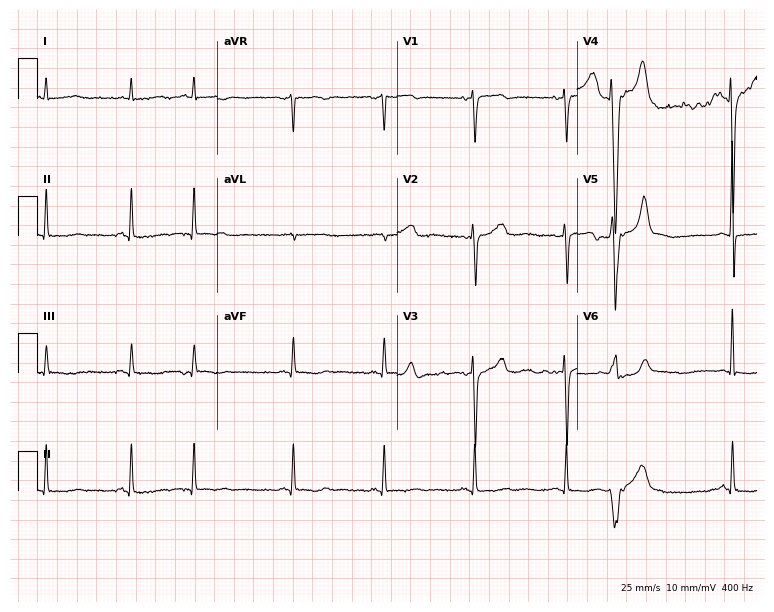
12-lead ECG from an 80-year-old man. Screened for six findings — first-degree AV block, right bundle branch block, left bundle branch block, sinus bradycardia, atrial fibrillation, sinus tachycardia — none is recorded. Only these six findings were labelled.